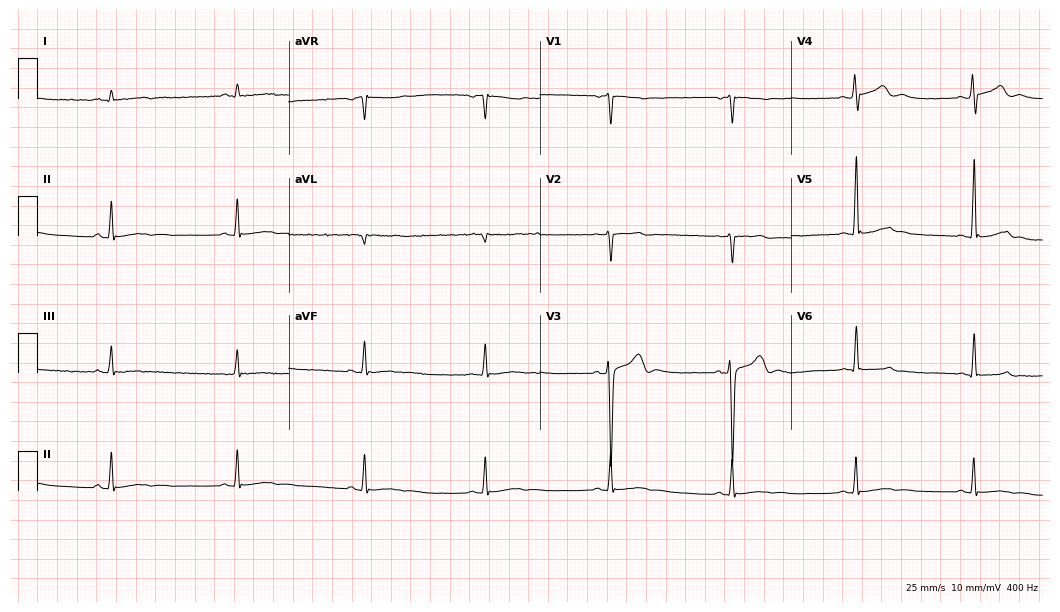
Resting 12-lead electrocardiogram. Patient: a 20-year-old male. None of these six findings is recorded: first-degree AV block, right bundle branch block (RBBB), left bundle branch block (LBBB), sinus bradycardia, atrial fibrillation (AF), sinus tachycardia. Only these six findings were labelled.